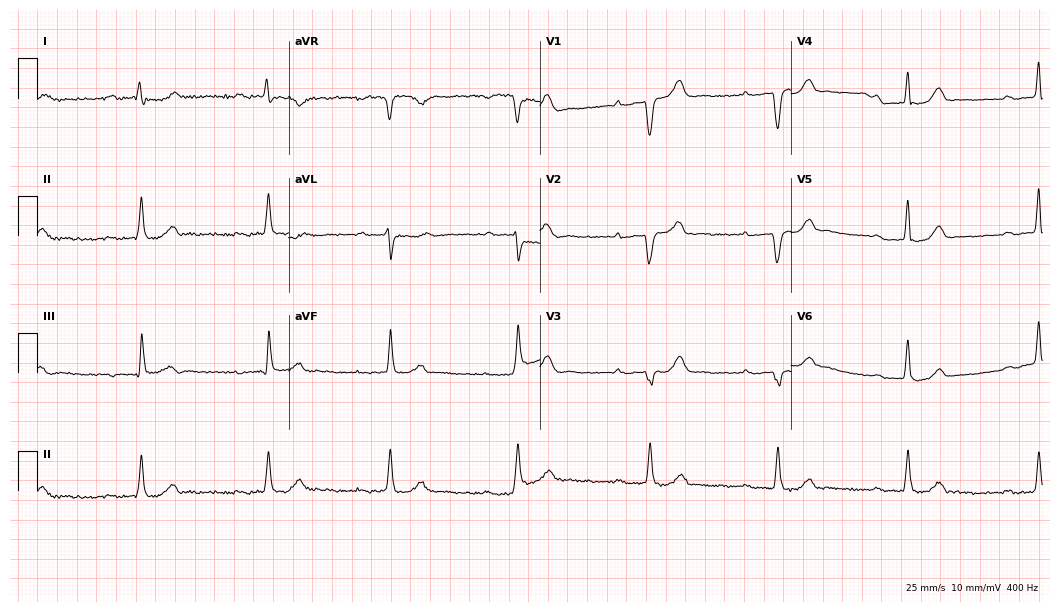
Standard 12-lead ECG recorded from a male patient, 71 years old. None of these six findings is recorded: first-degree AV block, right bundle branch block (RBBB), left bundle branch block (LBBB), sinus bradycardia, atrial fibrillation (AF), sinus tachycardia.